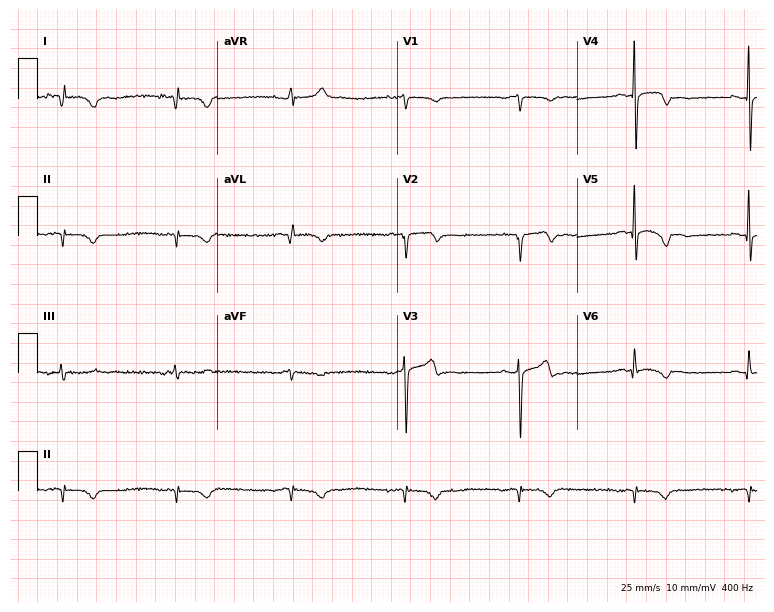
Electrocardiogram, a man, 78 years old. Of the six screened findings (first-degree AV block, right bundle branch block (RBBB), left bundle branch block (LBBB), sinus bradycardia, atrial fibrillation (AF), sinus tachycardia), none is recorded. Findings outside these six are not listed.